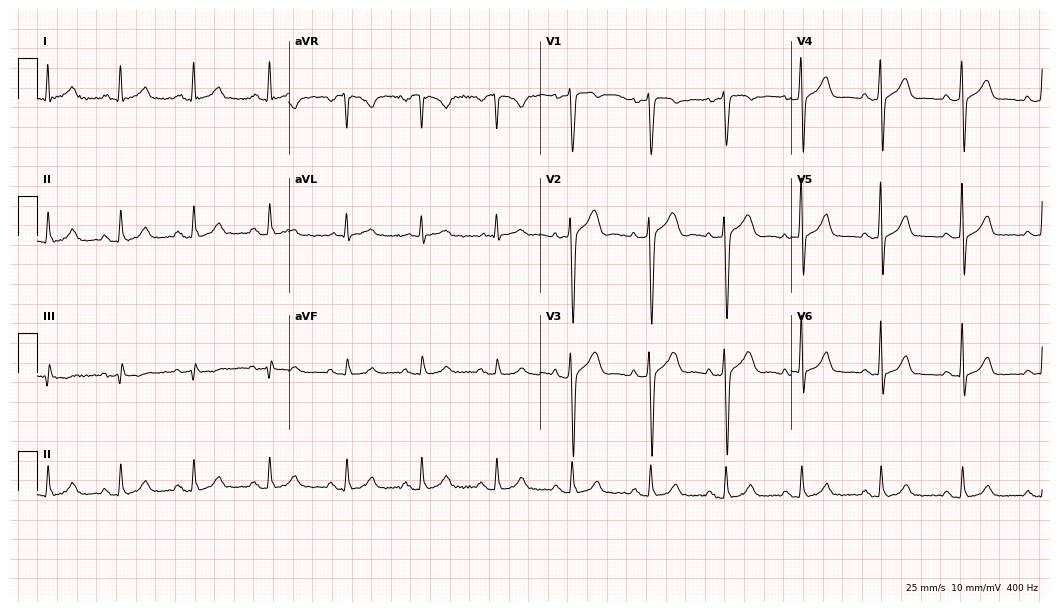
Resting 12-lead electrocardiogram (10.2-second recording at 400 Hz). Patient: a male, 52 years old. Read as a normal ECG.